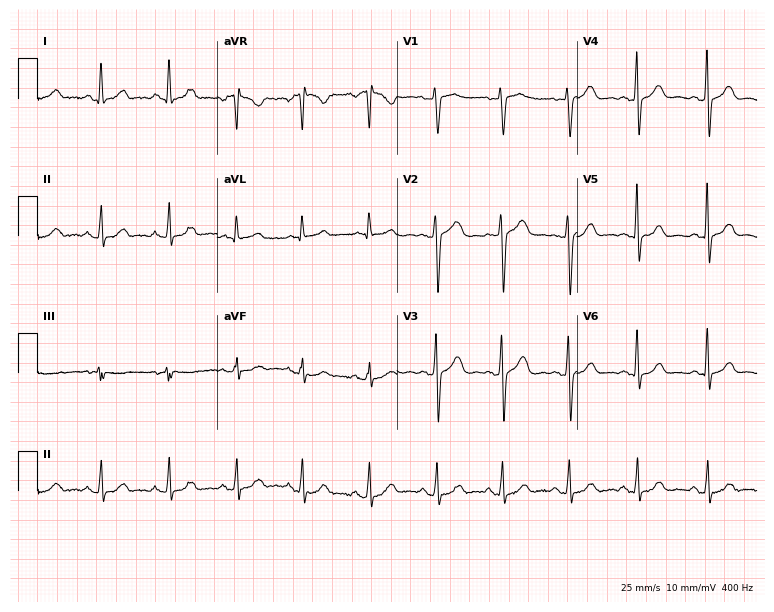
Standard 12-lead ECG recorded from a female patient, 48 years old (7.3-second recording at 400 Hz). Read as a normal ECG.